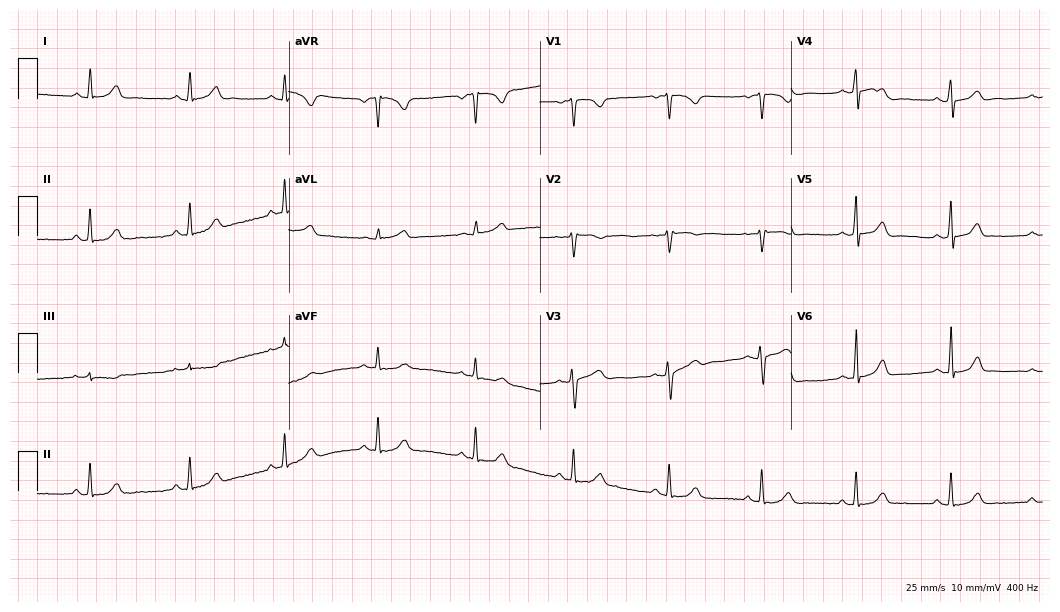
12-lead ECG from a 23-year-old woman (10.2-second recording at 400 Hz). Recorded interpretation: within normal limits.